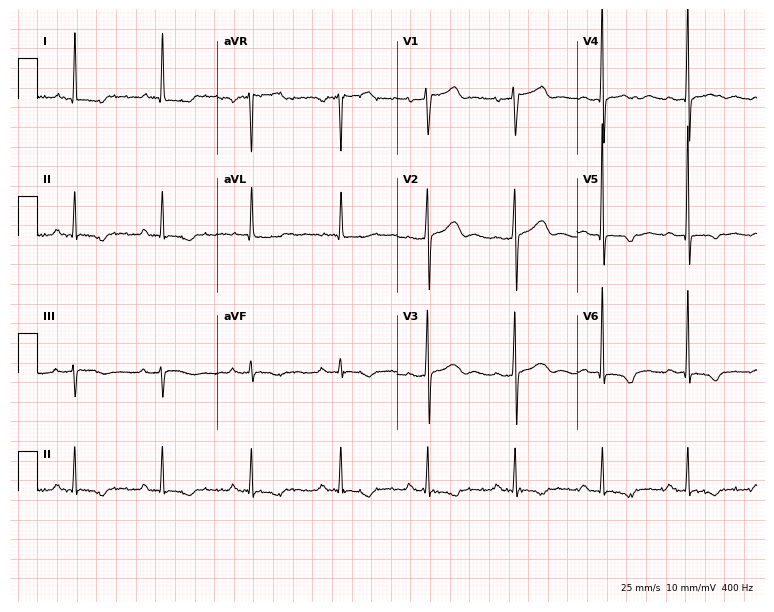
12-lead ECG from a female, 81 years old (7.3-second recording at 400 Hz). No first-degree AV block, right bundle branch block, left bundle branch block, sinus bradycardia, atrial fibrillation or sinus tachycardia recorded for this tracing.